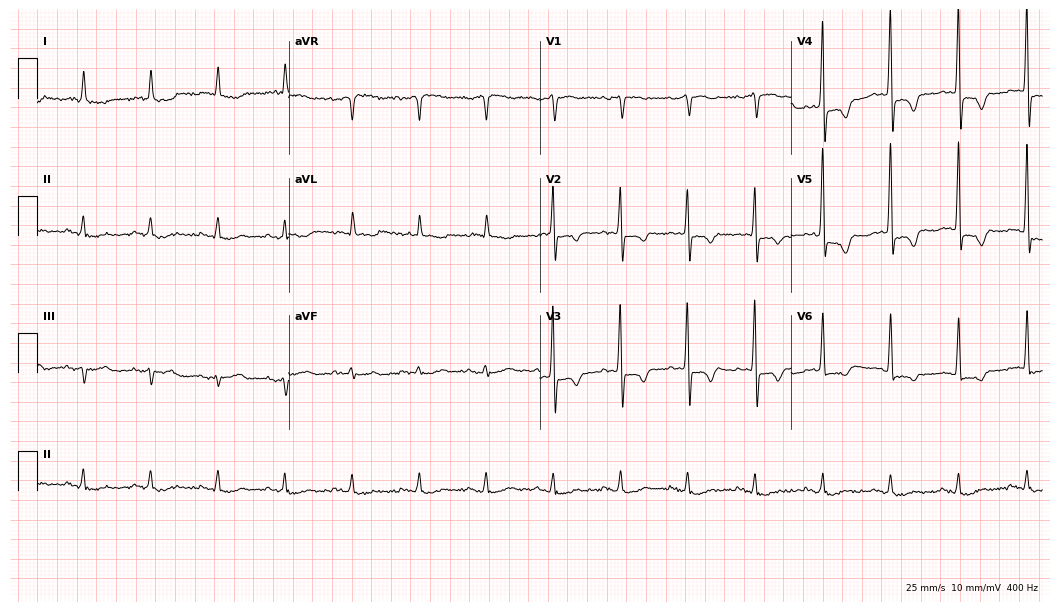
Standard 12-lead ECG recorded from a 78-year-old man (10.2-second recording at 400 Hz). None of these six findings is recorded: first-degree AV block, right bundle branch block (RBBB), left bundle branch block (LBBB), sinus bradycardia, atrial fibrillation (AF), sinus tachycardia. Only these six findings were labelled.